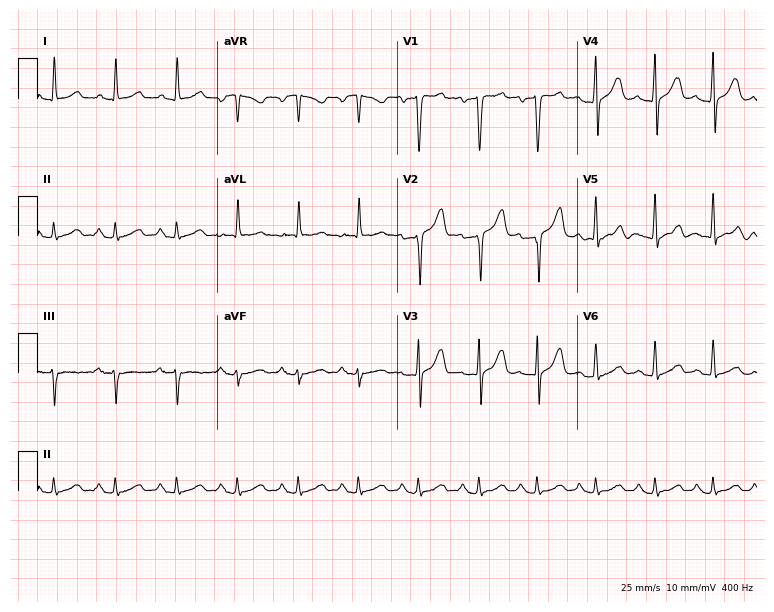
12-lead ECG from a 60-year-old male patient. Recorded interpretation: within normal limits.